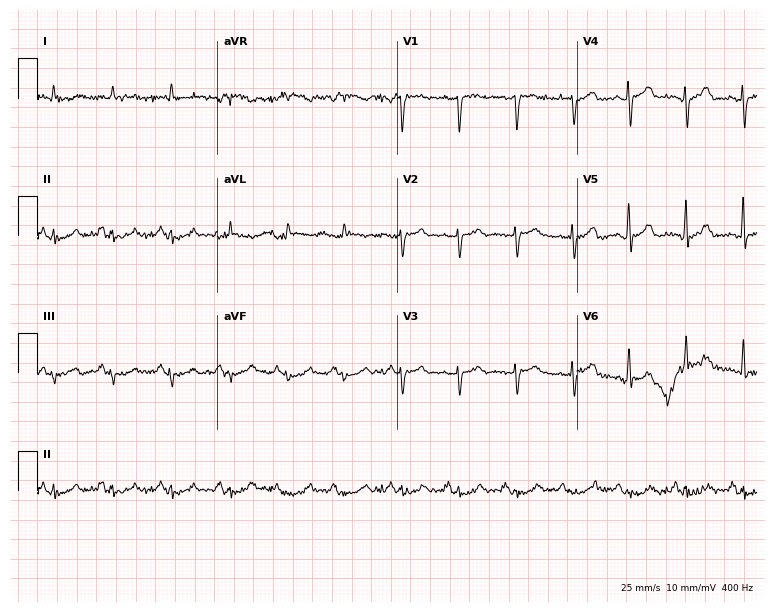
Standard 12-lead ECG recorded from a male, 62 years old (7.3-second recording at 400 Hz). None of these six findings is recorded: first-degree AV block, right bundle branch block, left bundle branch block, sinus bradycardia, atrial fibrillation, sinus tachycardia.